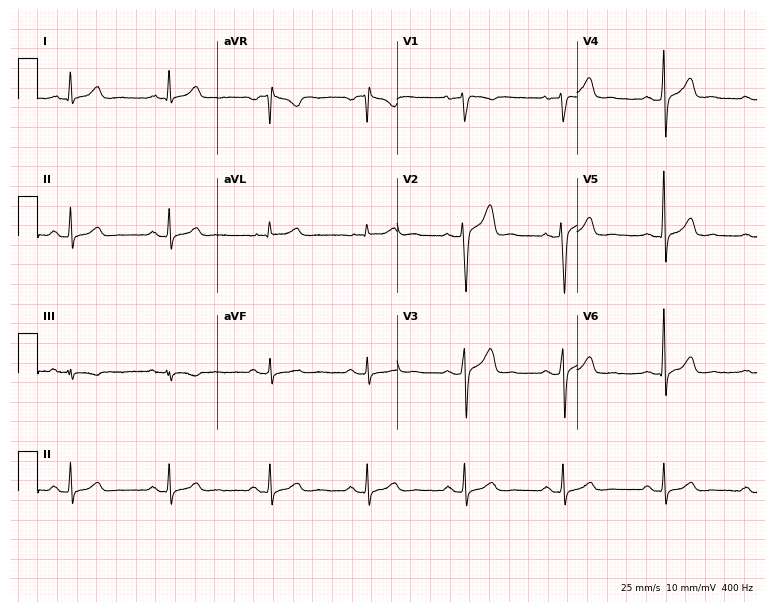
12-lead ECG from a man, 39 years old (7.3-second recording at 400 Hz). No first-degree AV block, right bundle branch block, left bundle branch block, sinus bradycardia, atrial fibrillation or sinus tachycardia recorded for this tracing. Findings outside these six are not listed.